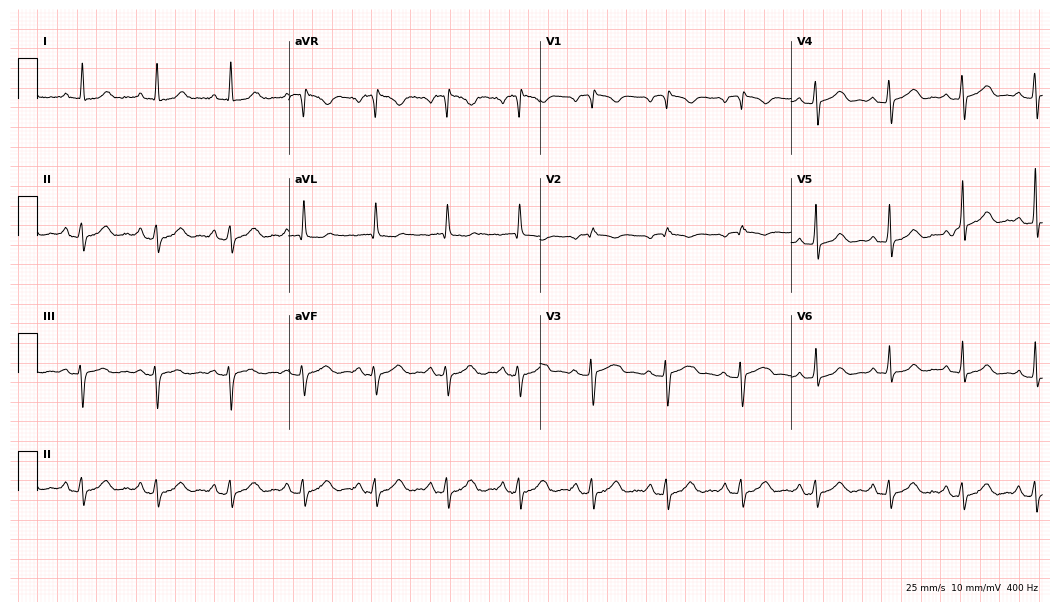
12-lead ECG from a 78-year-old woman. Labelled as a normal ECG.